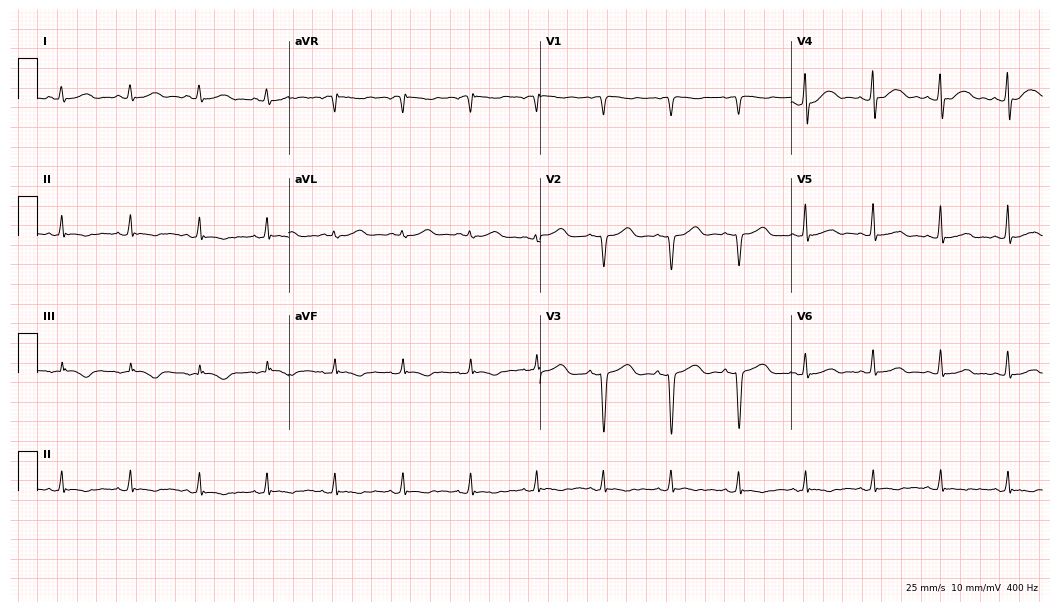
Standard 12-lead ECG recorded from a 43-year-old female (10.2-second recording at 400 Hz). None of these six findings is recorded: first-degree AV block, right bundle branch block, left bundle branch block, sinus bradycardia, atrial fibrillation, sinus tachycardia. Findings outside these six are not listed.